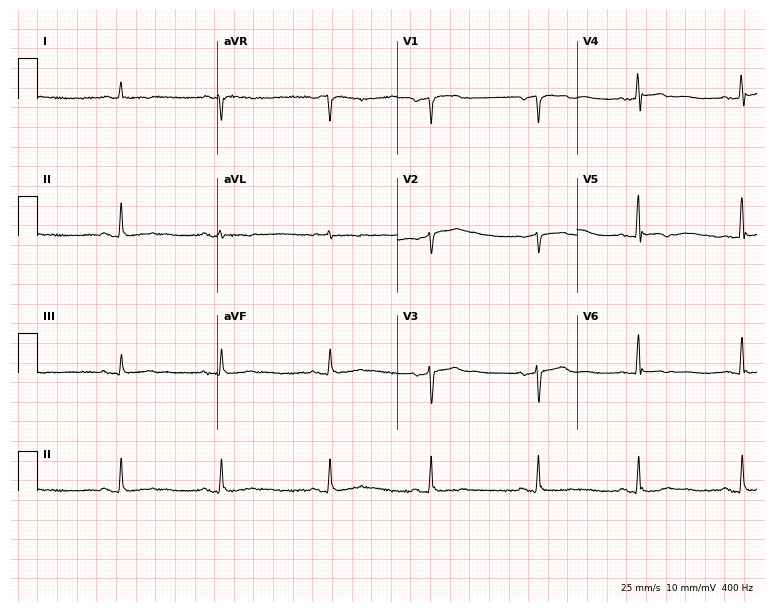
Standard 12-lead ECG recorded from a male, 79 years old (7.3-second recording at 400 Hz). None of these six findings is recorded: first-degree AV block, right bundle branch block, left bundle branch block, sinus bradycardia, atrial fibrillation, sinus tachycardia.